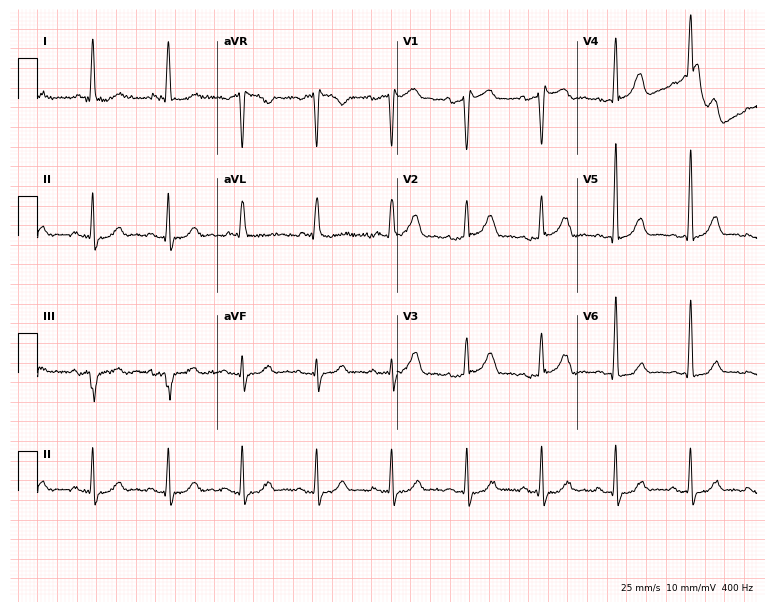
12-lead ECG from an 84-year-old female patient. Labelled as a normal ECG.